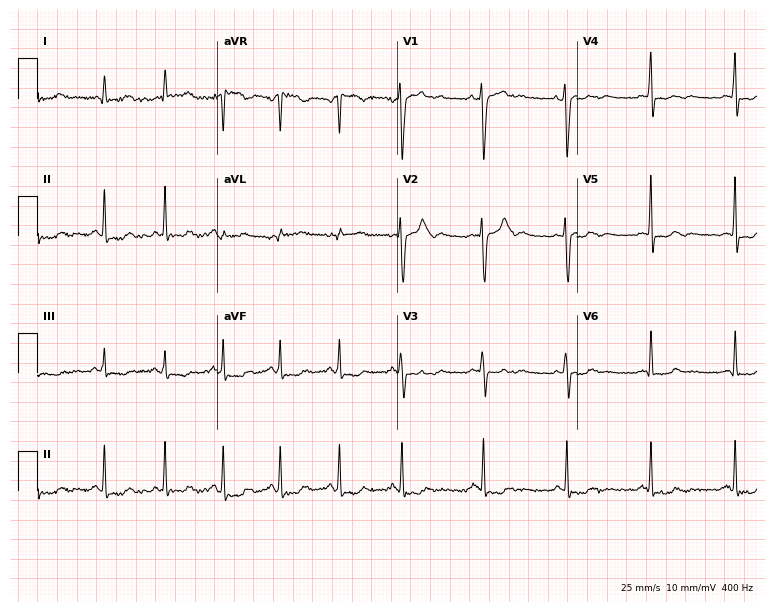
12-lead ECG from a 29-year-old female. Screened for six findings — first-degree AV block, right bundle branch block, left bundle branch block, sinus bradycardia, atrial fibrillation, sinus tachycardia — none is recorded.